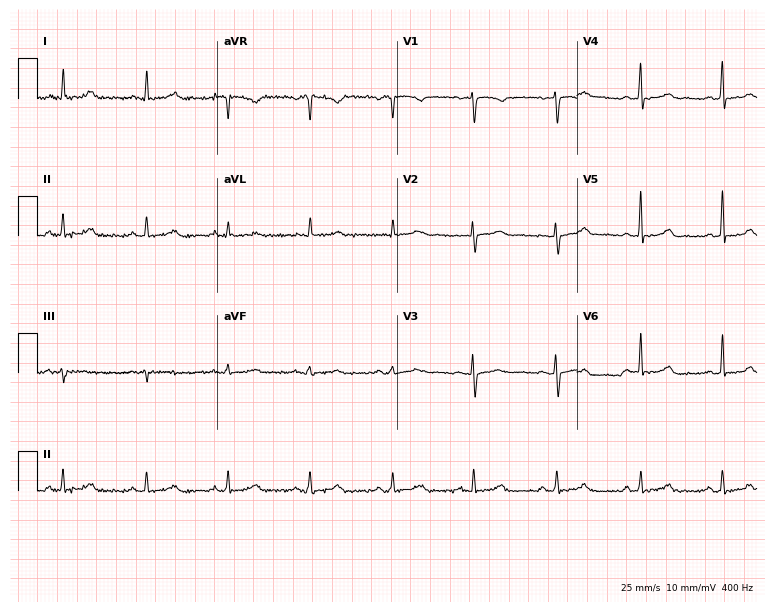
ECG — a 45-year-old woman. Screened for six findings — first-degree AV block, right bundle branch block, left bundle branch block, sinus bradycardia, atrial fibrillation, sinus tachycardia — none is recorded.